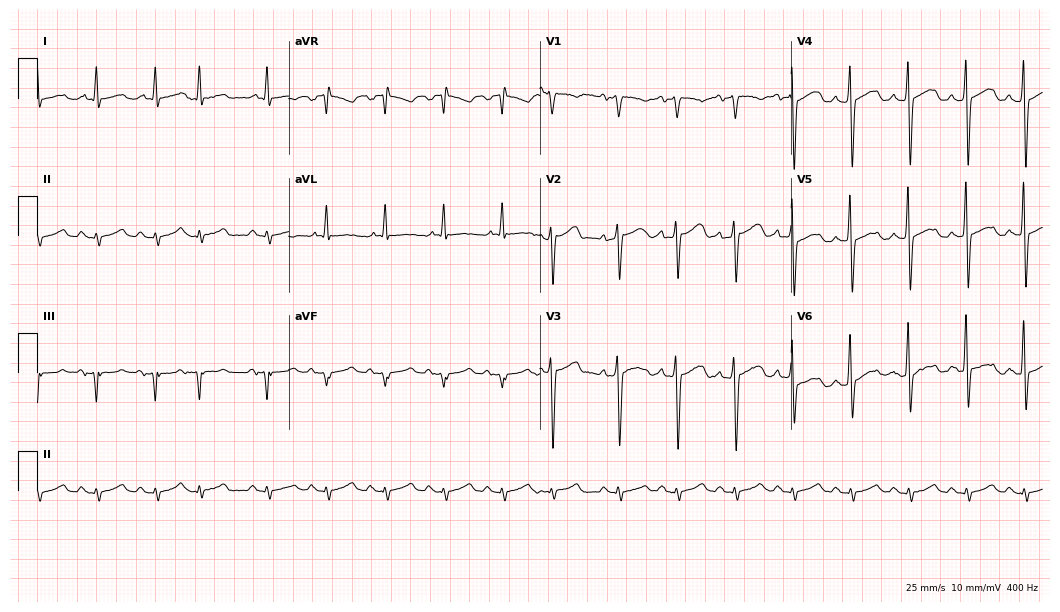
12-lead ECG from a male, 52 years old. Screened for six findings — first-degree AV block, right bundle branch block (RBBB), left bundle branch block (LBBB), sinus bradycardia, atrial fibrillation (AF), sinus tachycardia — none is recorded.